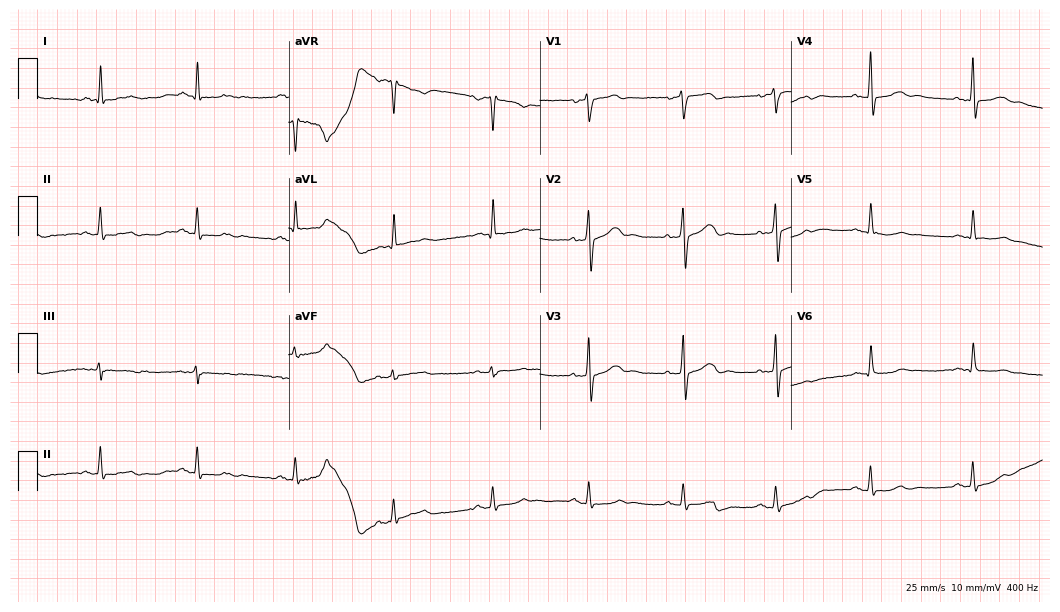
Electrocardiogram, a 53-year-old female. Of the six screened findings (first-degree AV block, right bundle branch block, left bundle branch block, sinus bradycardia, atrial fibrillation, sinus tachycardia), none is recorded. Only these six findings were labelled.